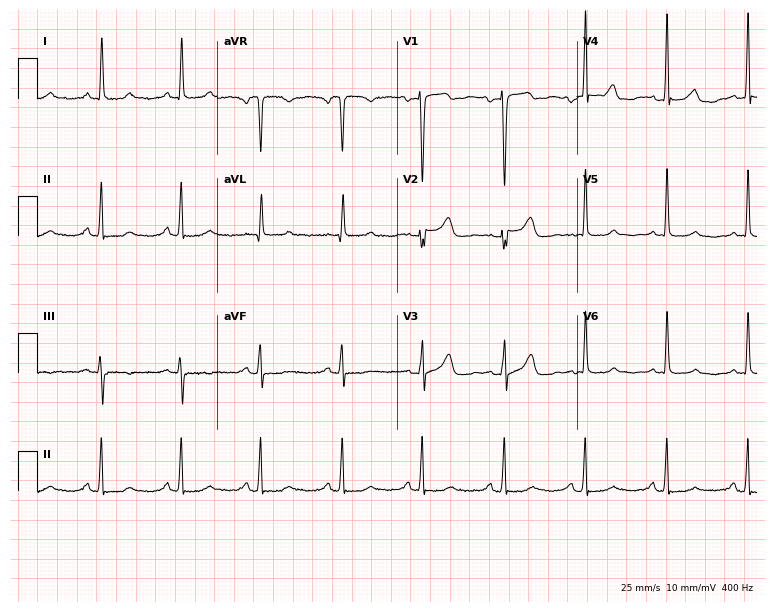
Electrocardiogram (7.3-second recording at 400 Hz), a female patient, 49 years old. Of the six screened findings (first-degree AV block, right bundle branch block, left bundle branch block, sinus bradycardia, atrial fibrillation, sinus tachycardia), none is recorded. Other findings, if any, are not listed.